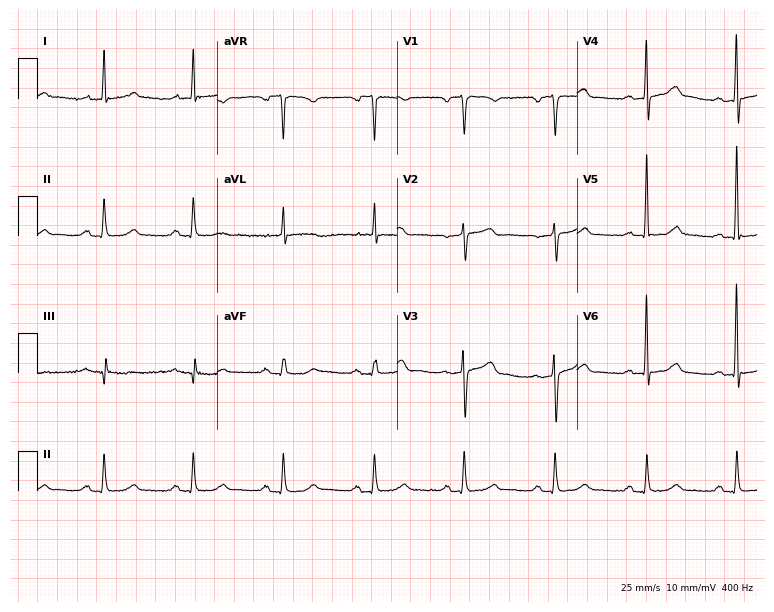
12-lead ECG from a 76-year-old male. Recorded interpretation: within normal limits.